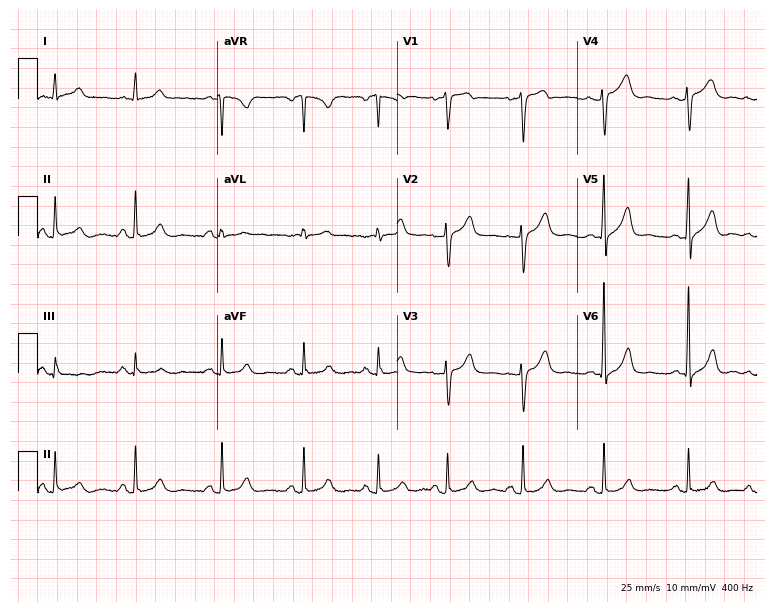
ECG — a female patient, 67 years old. Labelled as a normal ECG.